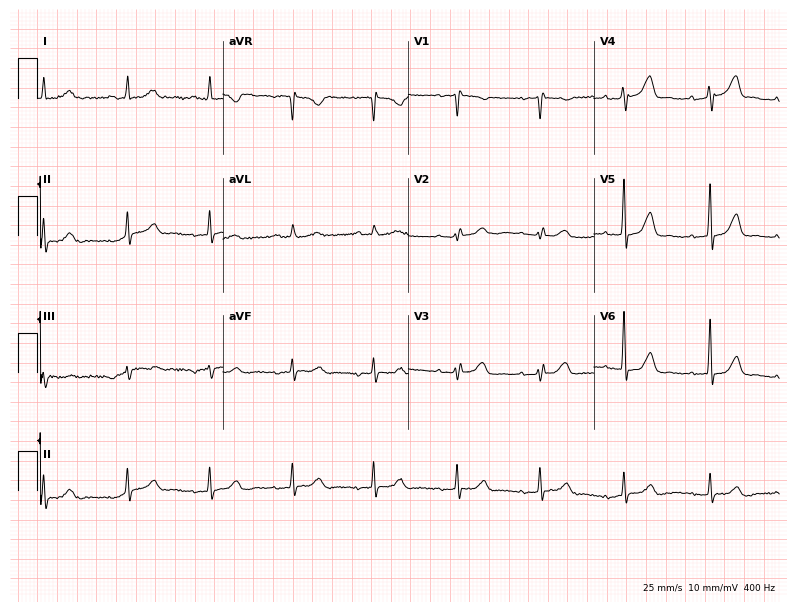
12-lead ECG from an 85-year-old female (7.6-second recording at 400 Hz). No first-degree AV block, right bundle branch block (RBBB), left bundle branch block (LBBB), sinus bradycardia, atrial fibrillation (AF) or sinus tachycardia recorded for this tracing. Only these six findings were labelled.